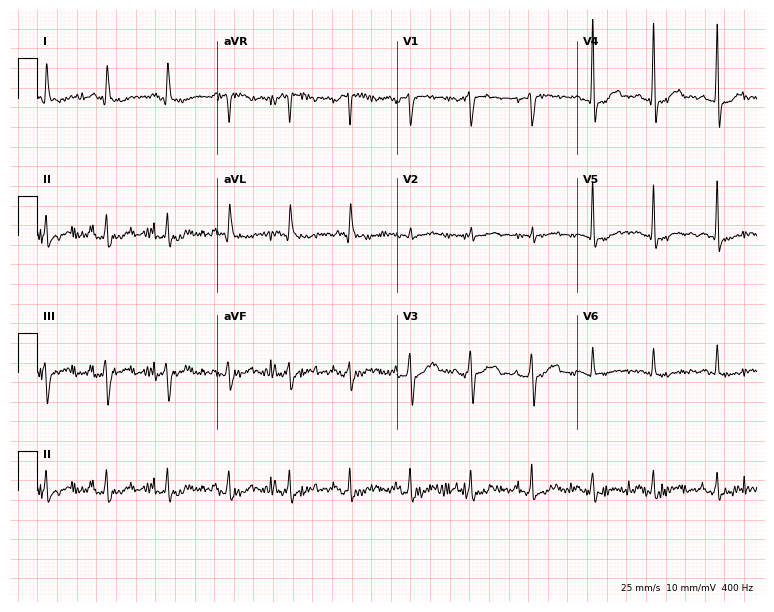
12-lead ECG (7.3-second recording at 400 Hz) from a female patient, 74 years old. Screened for six findings — first-degree AV block, right bundle branch block, left bundle branch block, sinus bradycardia, atrial fibrillation, sinus tachycardia — none is recorded.